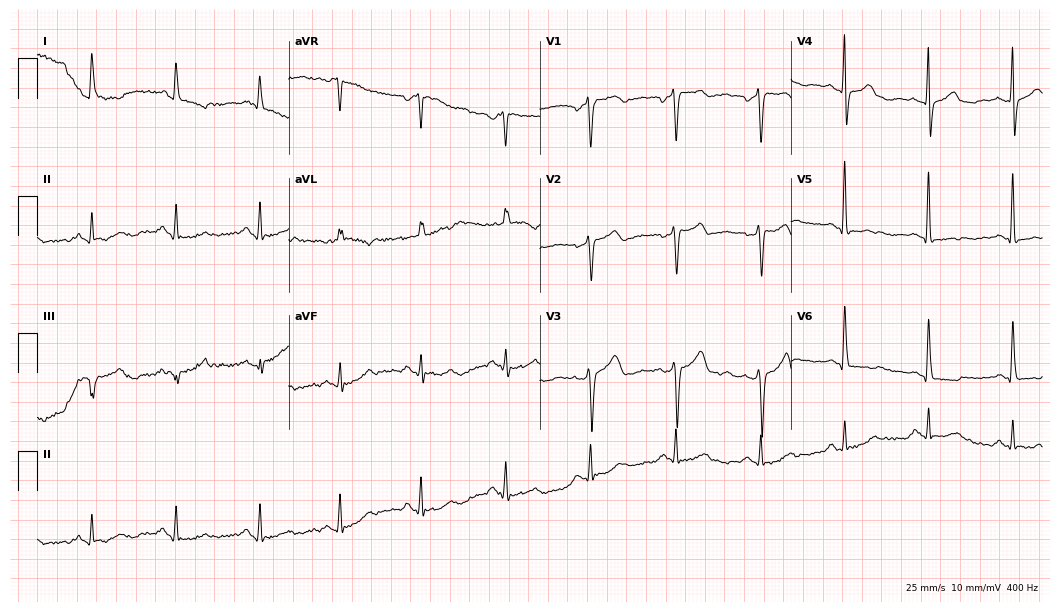
ECG (10.2-second recording at 400 Hz) — a male patient, 56 years old. Screened for six findings — first-degree AV block, right bundle branch block (RBBB), left bundle branch block (LBBB), sinus bradycardia, atrial fibrillation (AF), sinus tachycardia — none is recorded. Only these six findings were labelled.